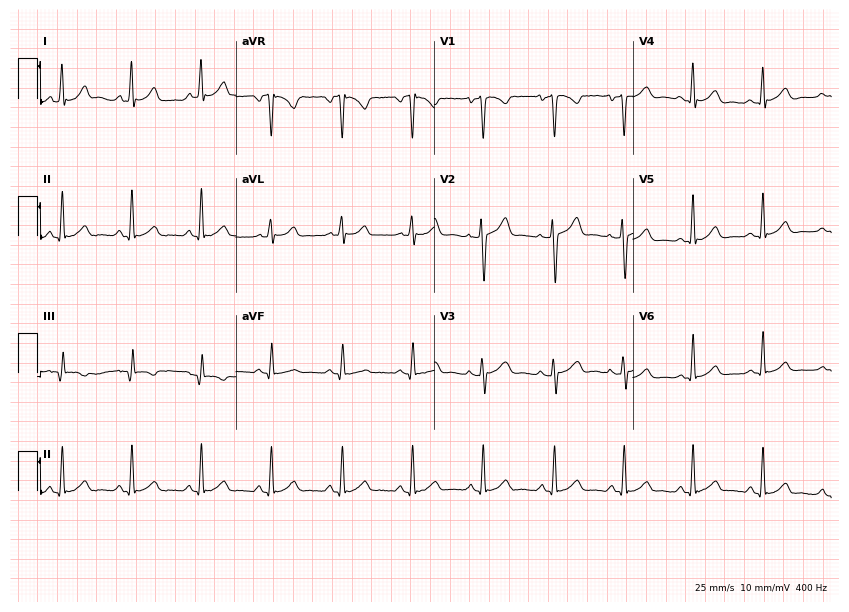
ECG (8.1-second recording at 400 Hz) — a female, 28 years old. Screened for six findings — first-degree AV block, right bundle branch block, left bundle branch block, sinus bradycardia, atrial fibrillation, sinus tachycardia — none is recorded.